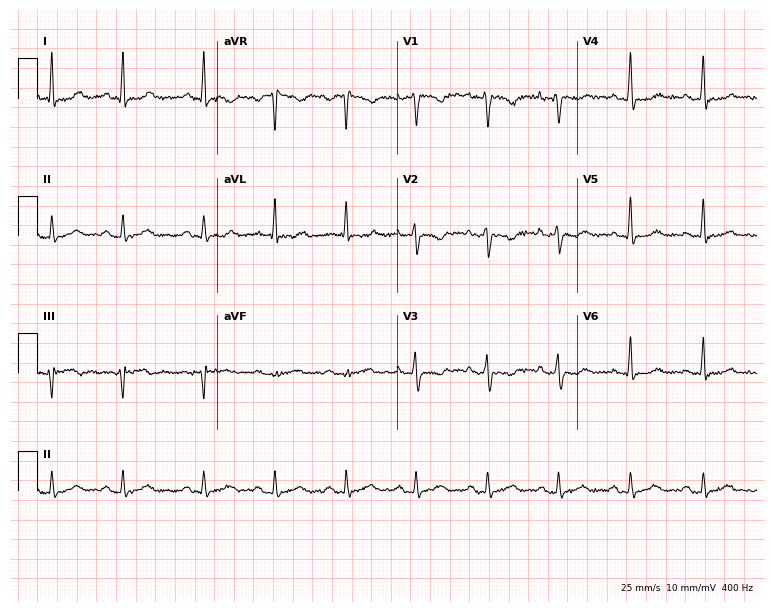
Resting 12-lead electrocardiogram (7.3-second recording at 400 Hz). Patient: a female, 38 years old. None of these six findings is recorded: first-degree AV block, right bundle branch block, left bundle branch block, sinus bradycardia, atrial fibrillation, sinus tachycardia. Other findings, if any, are not listed.